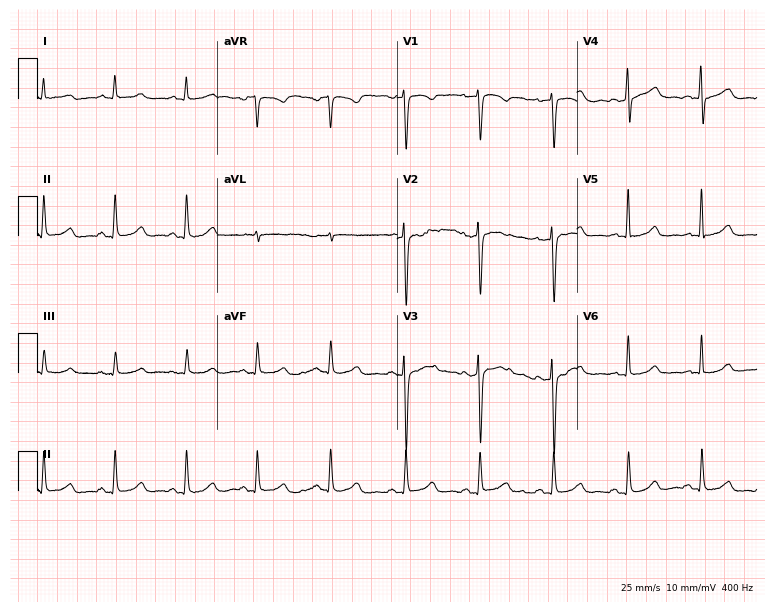
Electrocardiogram, a 45-year-old female. Overall reading on record: normal ECG.